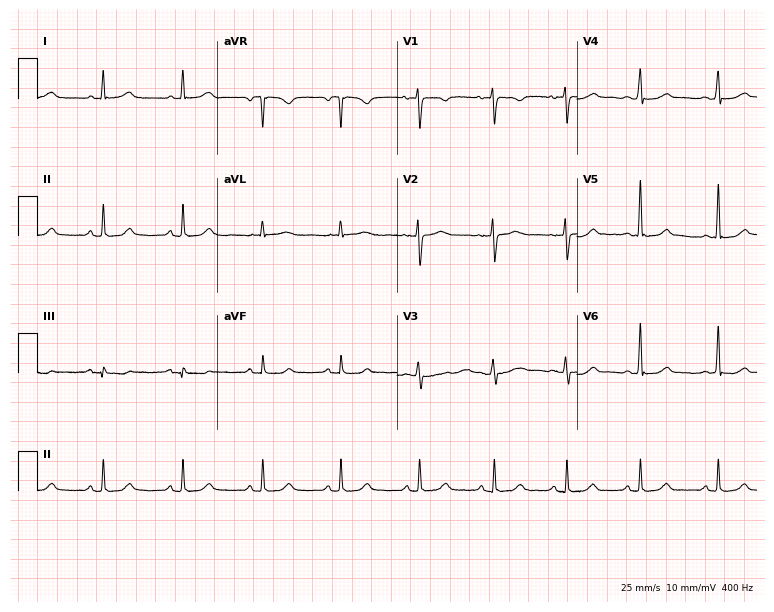
12-lead ECG (7.3-second recording at 400 Hz) from a woman, 43 years old. Screened for six findings — first-degree AV block, right bundle branch block, left bundle branch block, sinus bradycardia, atrial fibrillation, sinus tachycardia — none is recorded. Findings outside these six are not listed.